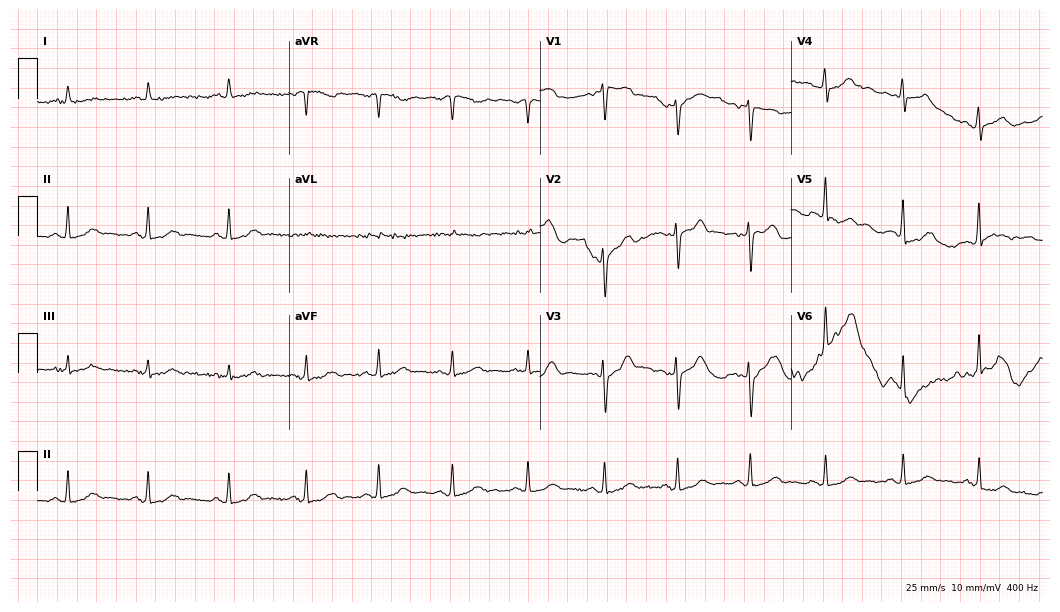
ECG — a 40-year-old female patient. Screened for six findings — first-degree AV block, right bundle branch block (RBBB), left bundle branch block (LBBB), sinus bradycardia, atrial fibrillation (AF), sinus tachycardia — none is recorded.